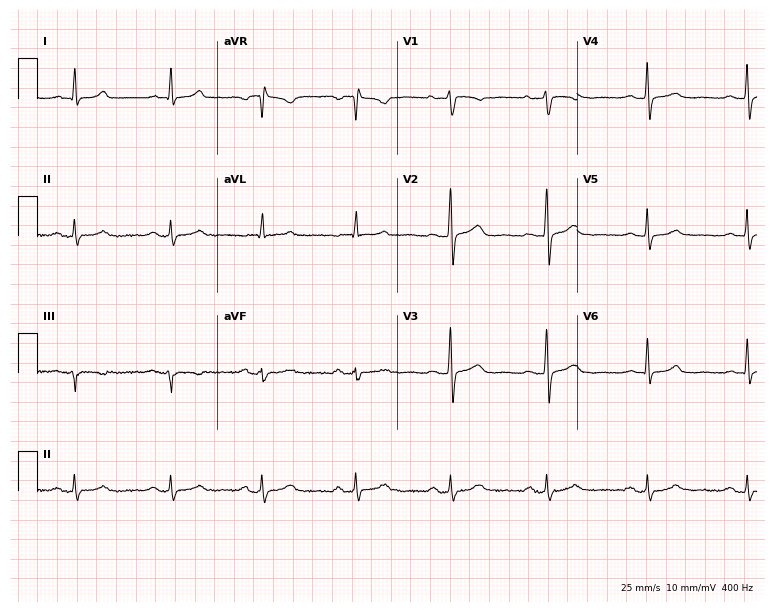
12-lead ECG from a 48-year-old male (7.3-second recording at 400 Hz). No first-degree AV block, right bundle branch block, left bundle branch block, sinus bradycardia, atrial fibrillation or sinus tachycardia recorded for this tracing.